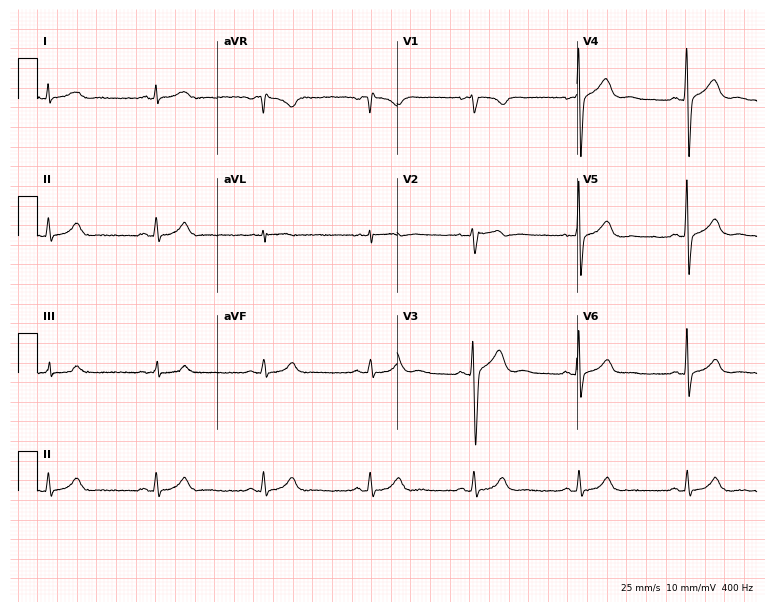
Resting 12-lead electrocardiogram. Patient: a man, 48 years old. Read as a normal ECG.